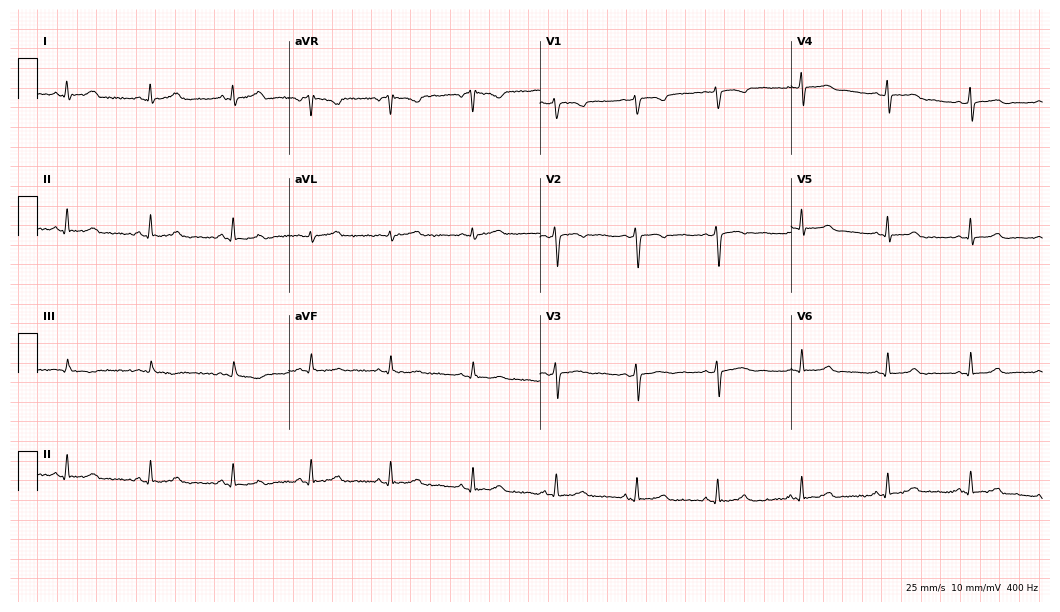
ECG (10.2-second recording at 400 Hz) — a woman, 24 years old. Labelled as a normal ECG.